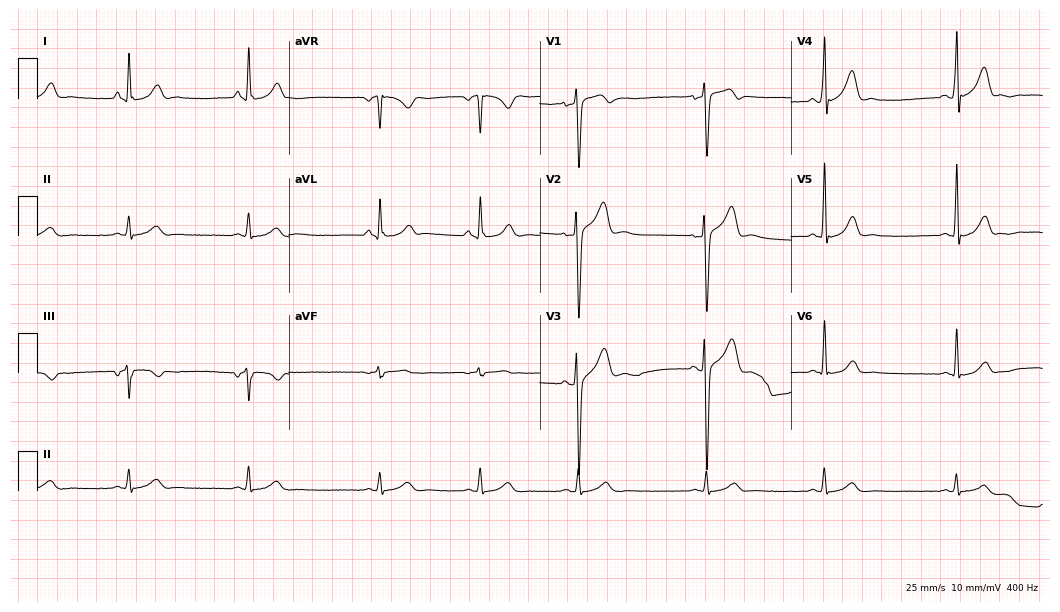
Standard 12-lead ECG recorded from a 25-year-old male patient. Read as a normal ECG.